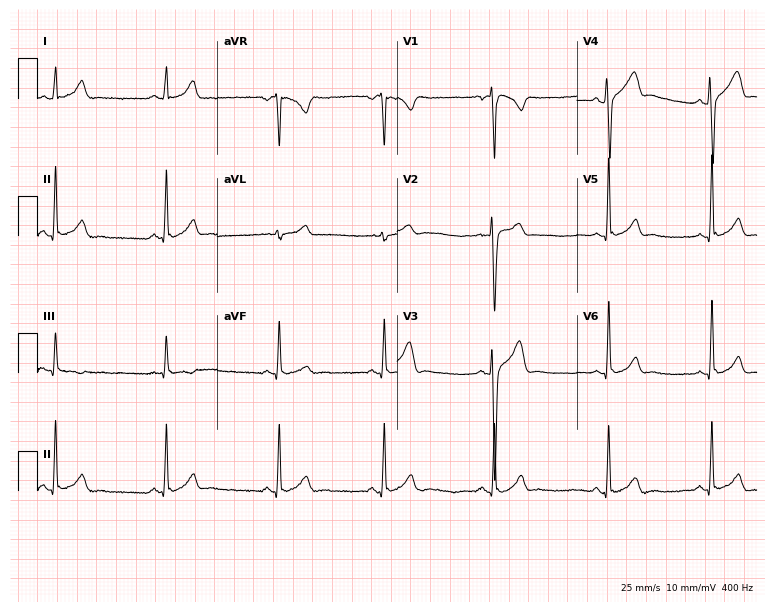
Electrocardiogram (7.3-second recording at 400 Hz), a male patient, 26 years old. Overall reading on record: normal ECG.